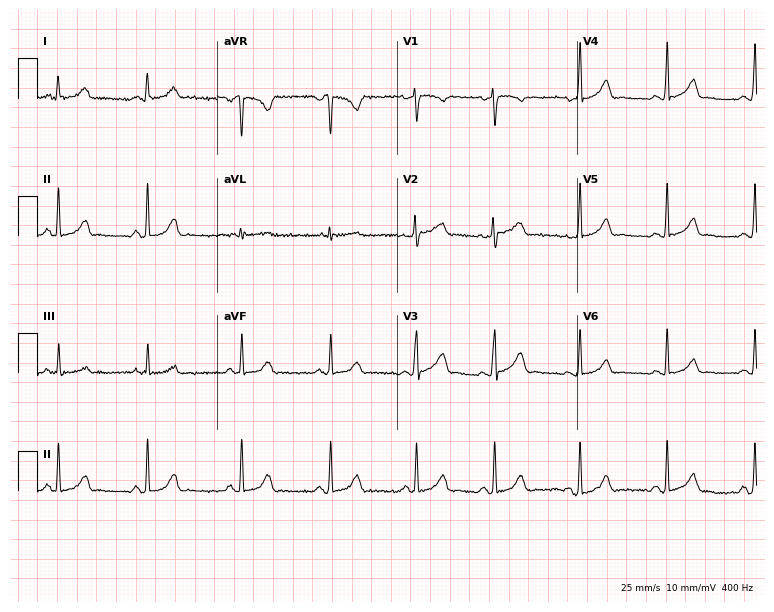
Resting 12-lead electrocardiogram (7.3-second recording at 400 Hz). Patient: a 30-year-old female. None of these six findings is recorded: first-degree AV block, right bundle branch block, left bundle branch block, sinus bradycardia, atrial fibrillation, sinus tachycardia. Only these six findings were labelled.